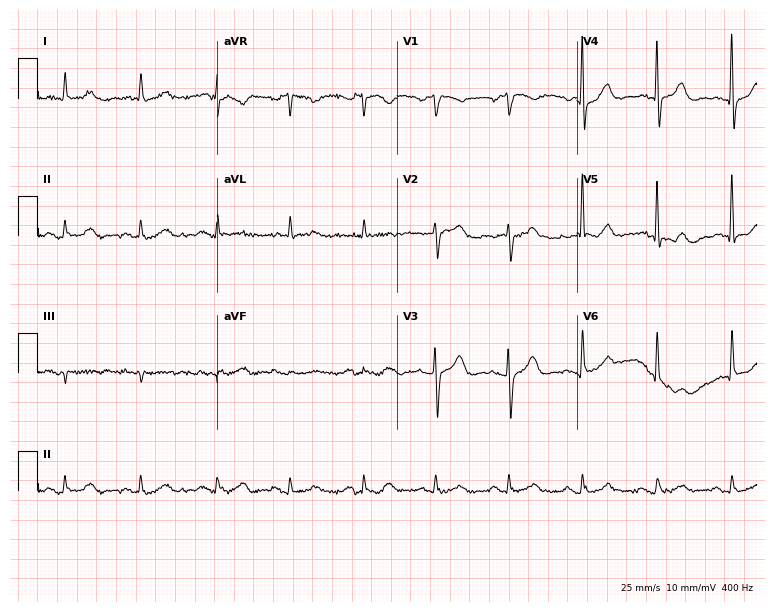
12-lead ECG from a male patient, 85 years old (7.3-second recording at 400 Hz). Recorded interpretation: within normal limits.